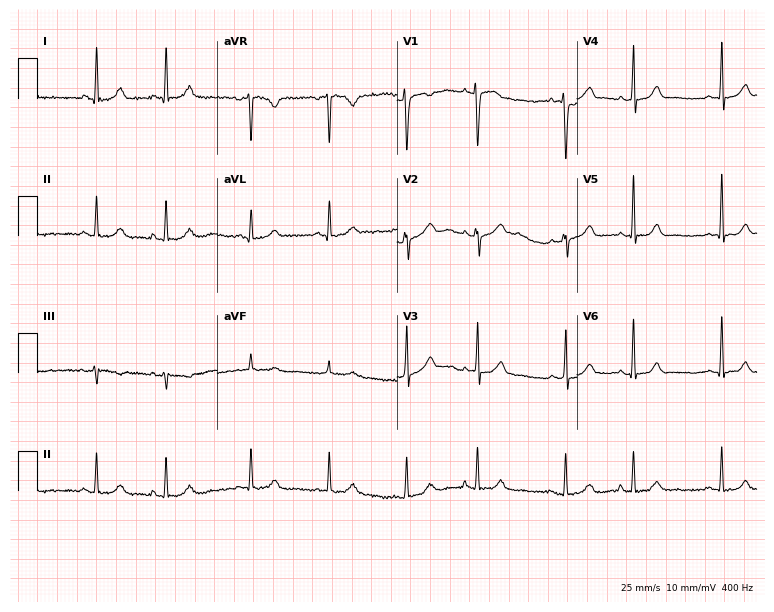
Resting 12-lead electrocardiogram (7.3-second recording at 400 Hz). Patient: a female, 38 years old. None of these six findings is recorded: first-degree AV block, right bundle branch block, left bundle branch block, sinus bradycardia, atrial fibrillation, sinus tachycardia. Other findings, if any, are not listed.